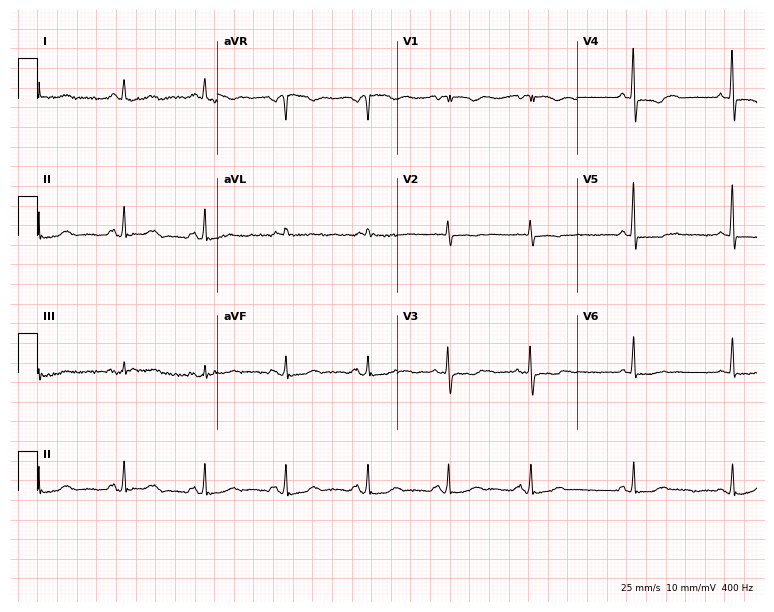
12-lead ECG from a 67-year-old woman. No first-degree AV block, right bundle branch block, left bundle branch block, sinus bradycardia, atrial fibrillation or sinus tachycardia recorded for this tracing. Only these six findings were labelled.